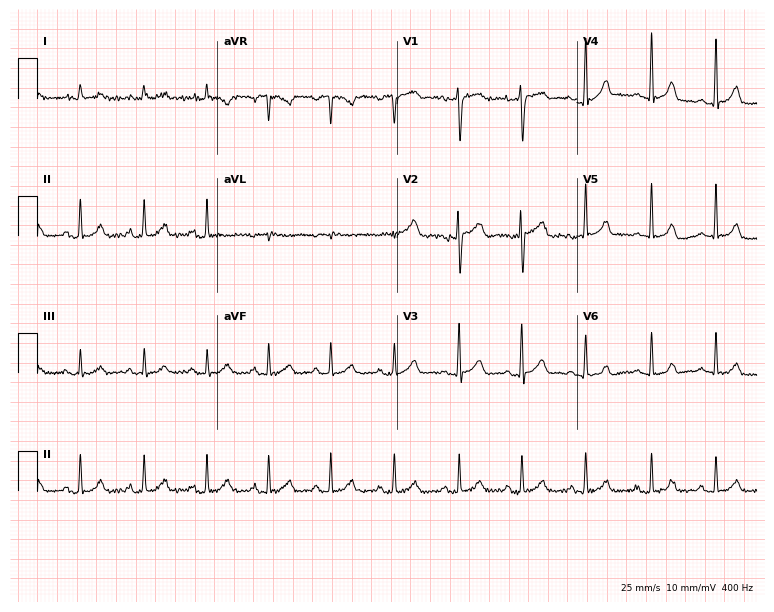
Standard 12-lead ECG recorded from a 34-year-old female patient. Read as a normal ECG.